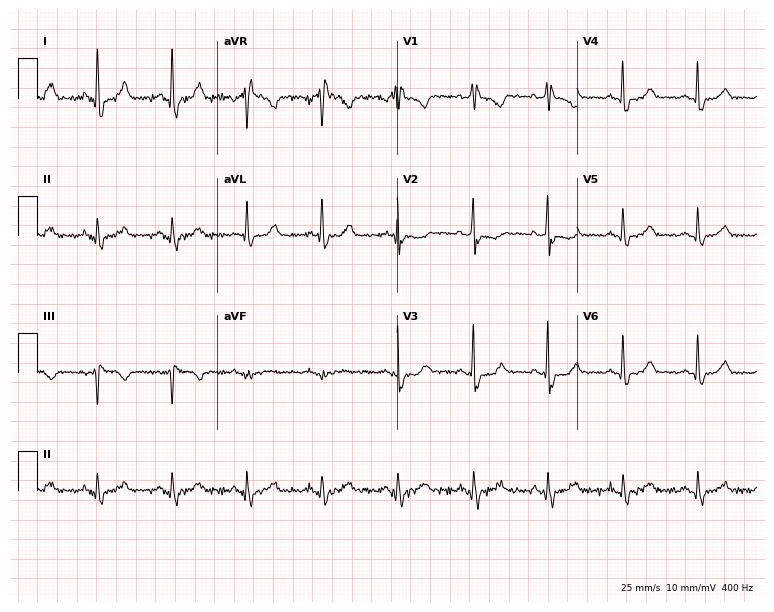
Electrocardiogram (7.3-second recording at 400 Hz), a female patient, 47 years old. Interpretation includes right bundle branch block (RBBB).